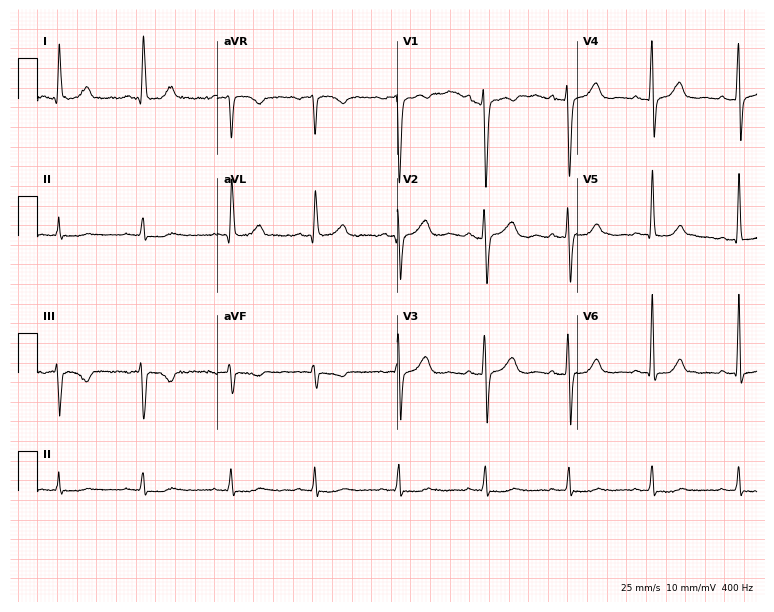
12-lead ECG from a 52-year-old woman. Screened for six findings — first-degree AV block, right bundle branch block, left bundle branch block, sinus bradycardia, atrial fibrillation, sinus tachycardia — none is recorded.